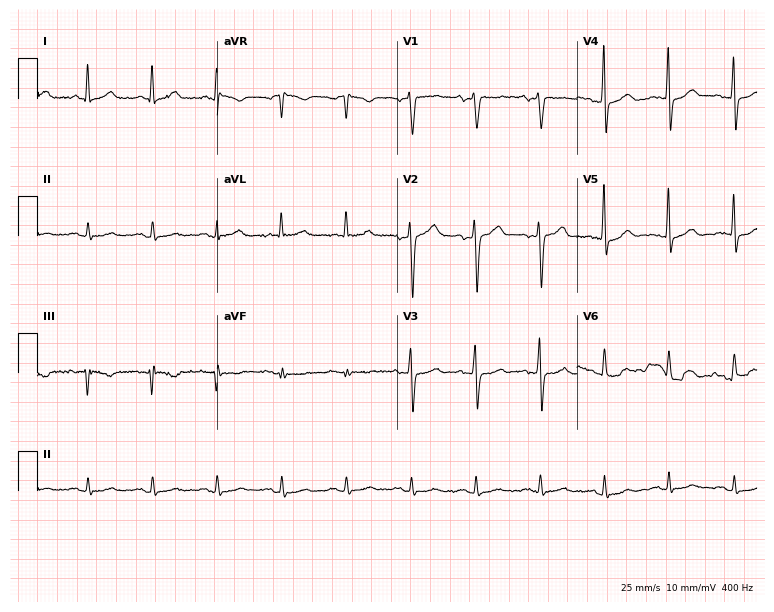
12-lead ECG from a male patient, 59 years old. No first-degree AV block, right bundle branch block, left bundle branch block, sinus bradycardia, atrial fibrillation or sinus tachycardia recorded for this tracing. Findings outside these six are not listed.